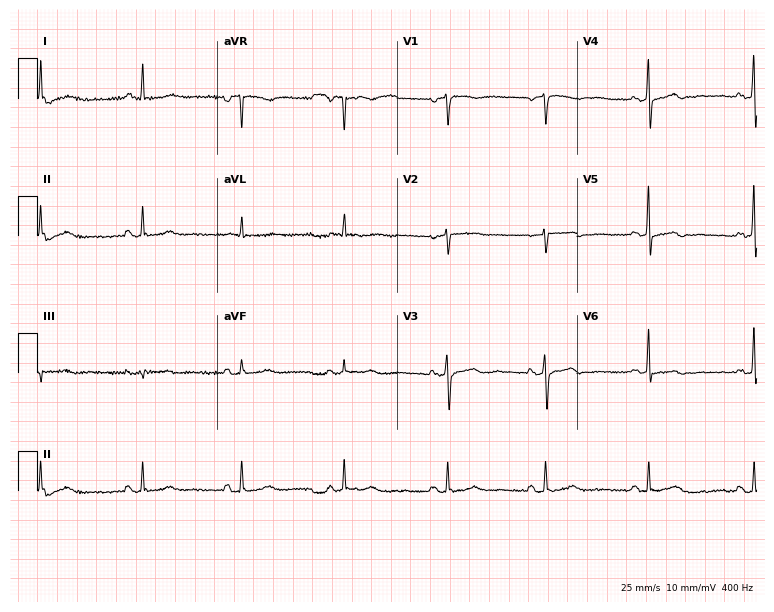
Electrocardiogram (7.3-second recording at 400 Hz), a 59-year-old woman. Overall reading on record: normal ECG.